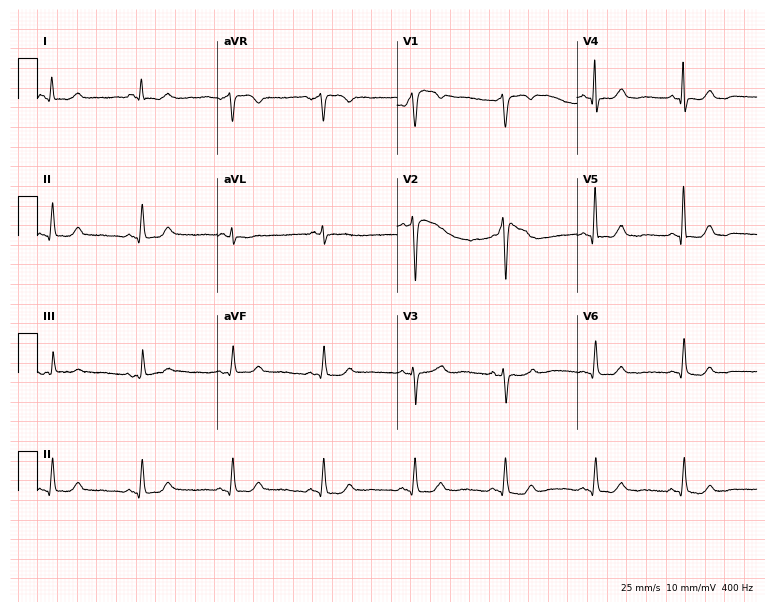
12-lead ECG from a woman, 64 years old. Recorded interpretation: within normal limits.